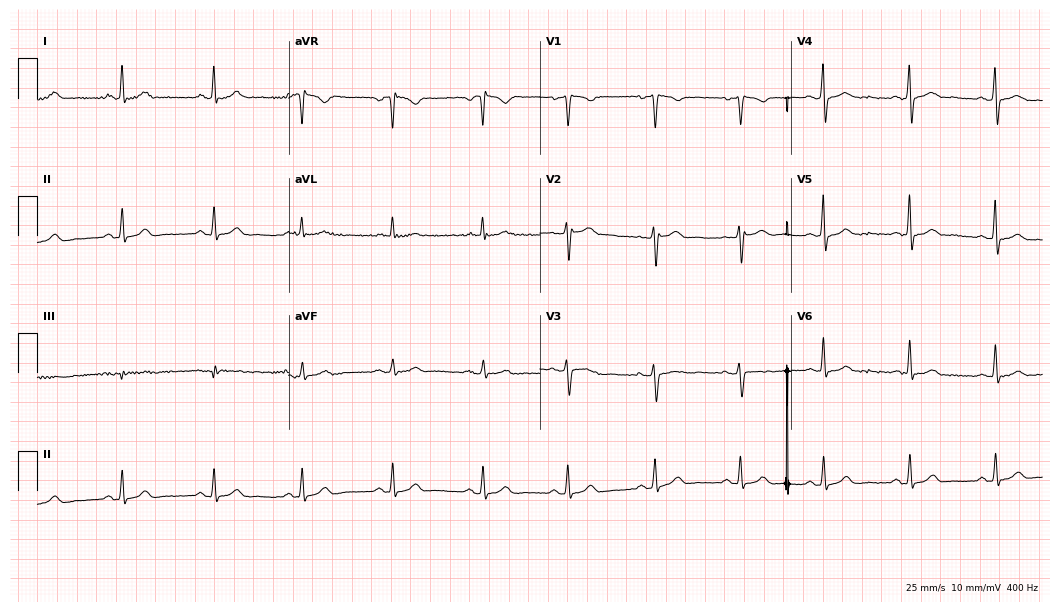
Standard 12-lead ECG recorded from a 45-year-old woman (10.2-second recording at 400 Hz). Read as a normal ECG.